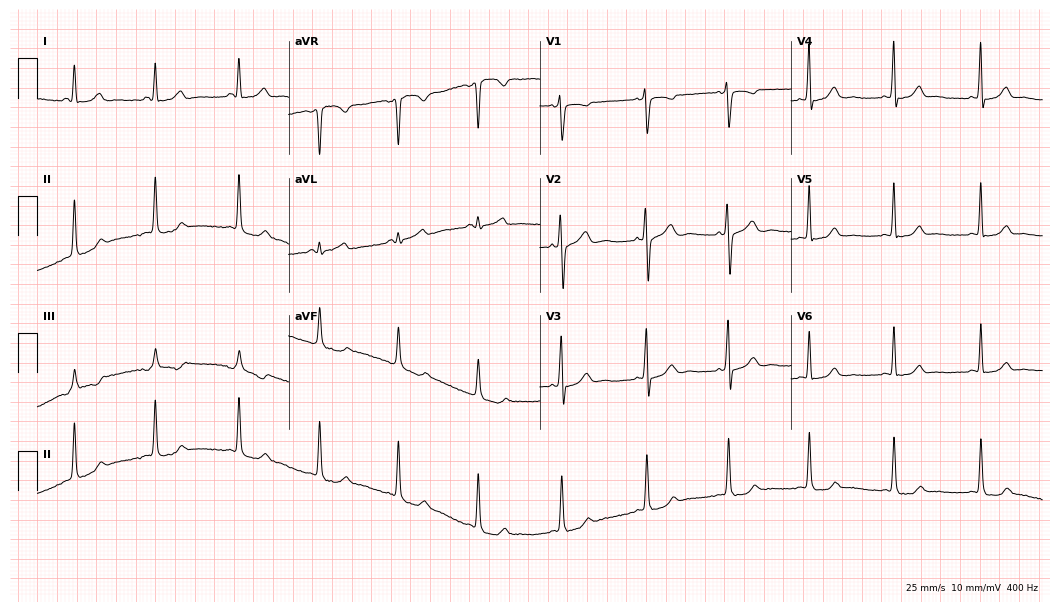
Resting 12-lead electrocardiogram (10.2-second recording at 400 Hz). Patient: a 34-year-old female. None of these six findings is recorded: first-degree AV block, right bundle branch block (RBBB), left bundle branch block (LBBB), sinus bradycardia, atrial fibrillation (AF), sinus tachycardia.